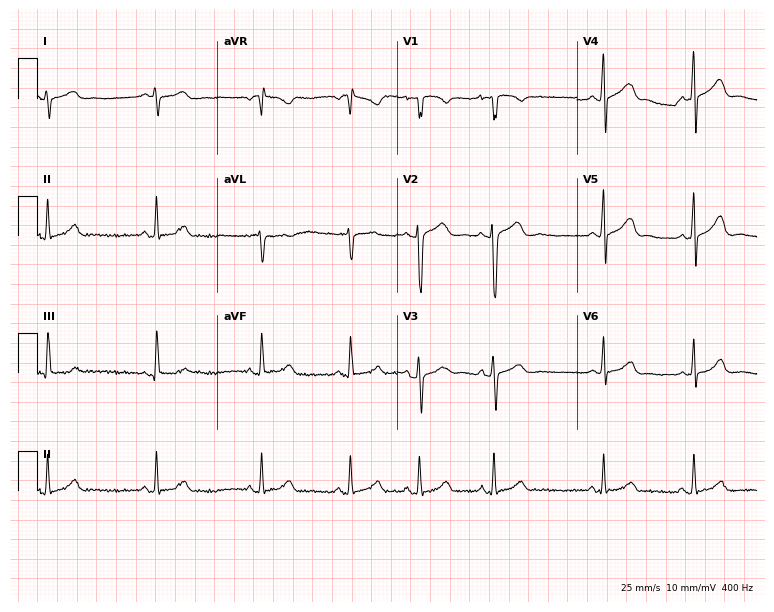
ECG (7.3-second recording at 400 Hz) — a 17-year-old woman. Screened for six findings — first-degree AV block, right bundle branch block, left bundle branch block, sinus bradycardia, atrial fibrillation, sinus tachycardia — none is recorded. Other findings, if any, are not listed.